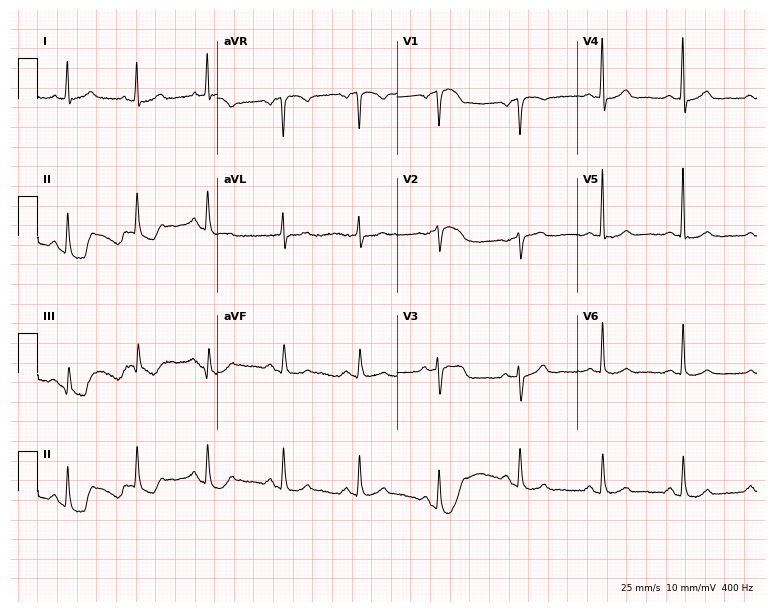
Electrocardiogram, a male patient, 57 years old. Of the six screened findings (first-degree AV block, right bundle branch block, left bundle branch block, sinus bradycardia, atrial fibrillation, sinus tachycardia), none is recorded. Other findings, if any, are not listed.